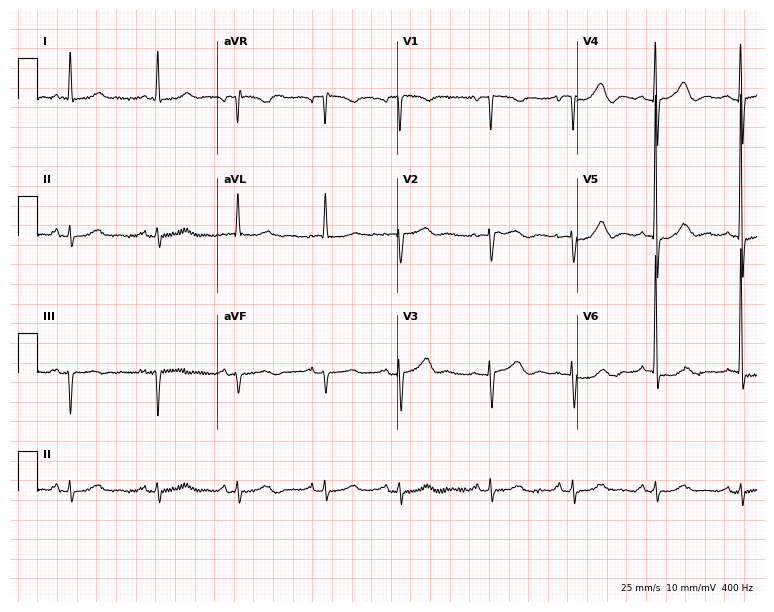
Electrocardiogram, a female, 79 years old. Of the six screened findings (first-degree AV block, right bundle branch block, left bundle branch block, sinus bradycardia, atrial fibrillation, sinus tachycardia), none is recorded.